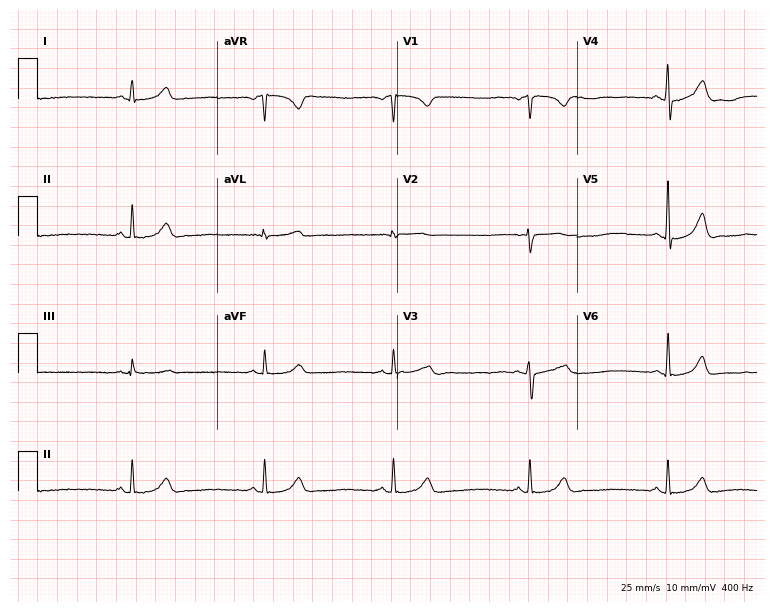
Electrocardiogram, a 32-year-old woman. Interpretation includes sinus bradycardia (a sinus rate of 50 beats per minute or less).